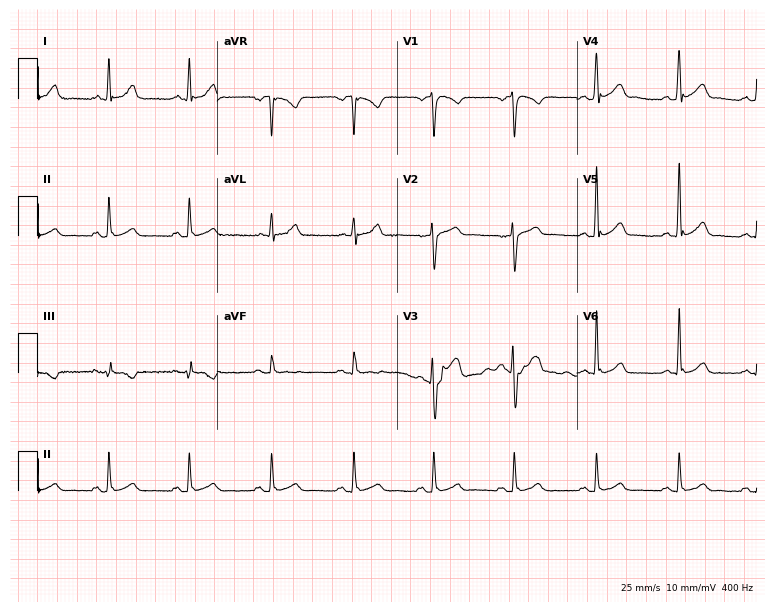
ECG — a 39-year-old male patient. Labelled as a normal ECG.